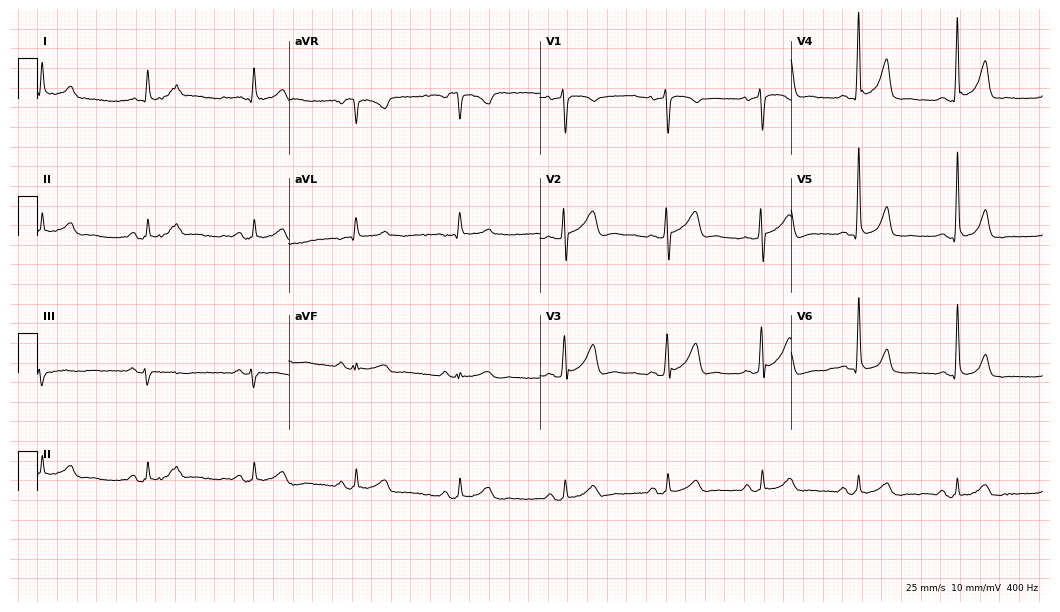
ECG (10.2-second recording at 400 Hz) — a 59-year-old male. Screened for six findings — first-degree AV block, right bundle branch block, left bundle branch block, sinus bradycardia, atrial fibrillation, sinus tachycardia — none is recorded. Only these six findings were labelled.